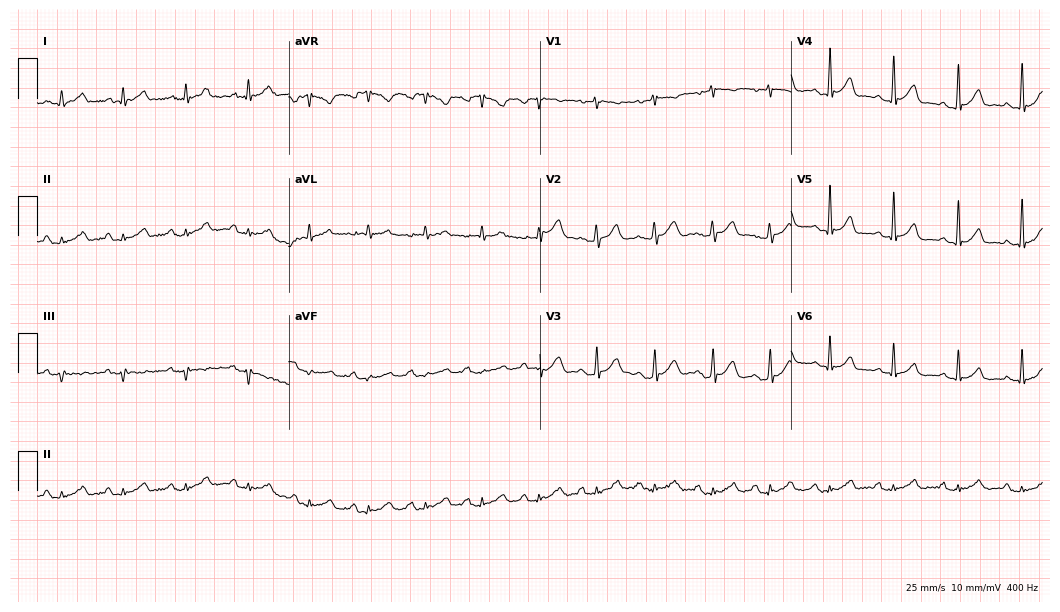
12-lead ECG from a 43-year-old male patient. No first-degree AV block, right bundle branch block (RBBB), left bundle branch block (LBBB), sinus bradycardia, atrial fibrillation (AF) or sinus tachycardia recorded for this tracing.